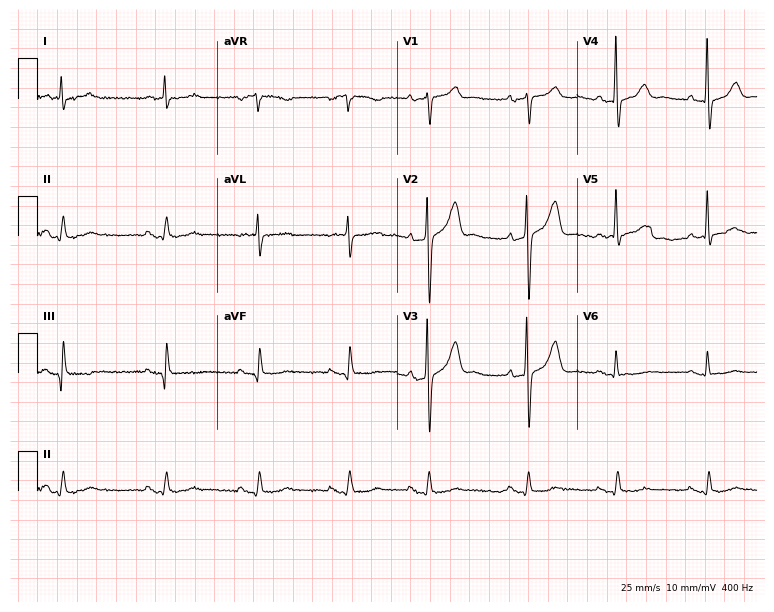
12-lead ECG from a 74-year-old man. Screened for six findings — first-degree AV block, right bundle branch block, left bundle branch block, sinus bradycardia, atrial fibrillation, sinus tachycardia — none is recorded. Only these six findings were labelled.